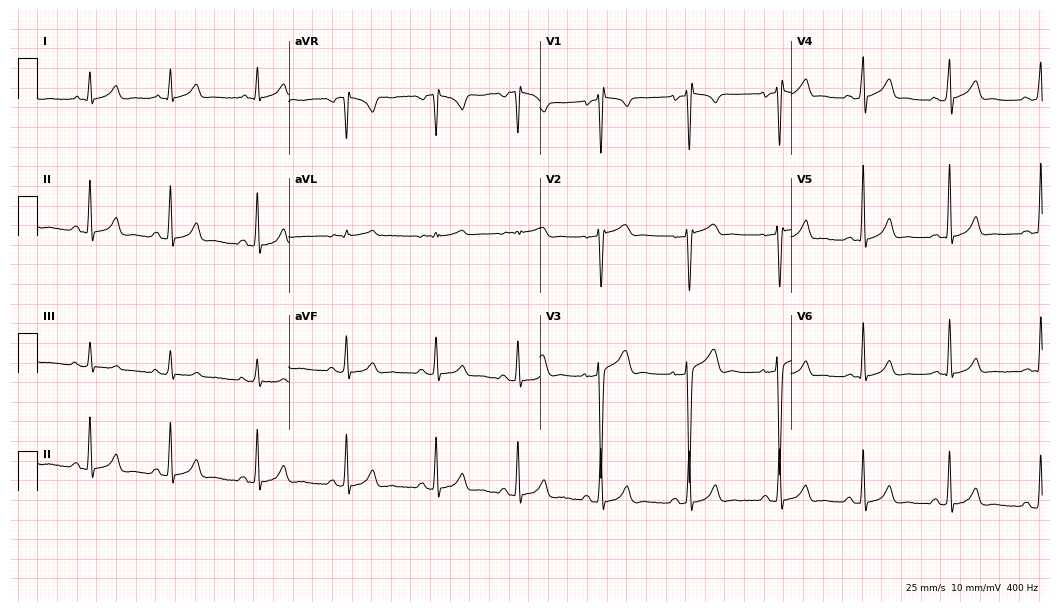
ECG (10.2-second recording at 400 Hz) — a male, 28 years old. Labelled as a normal ECG.